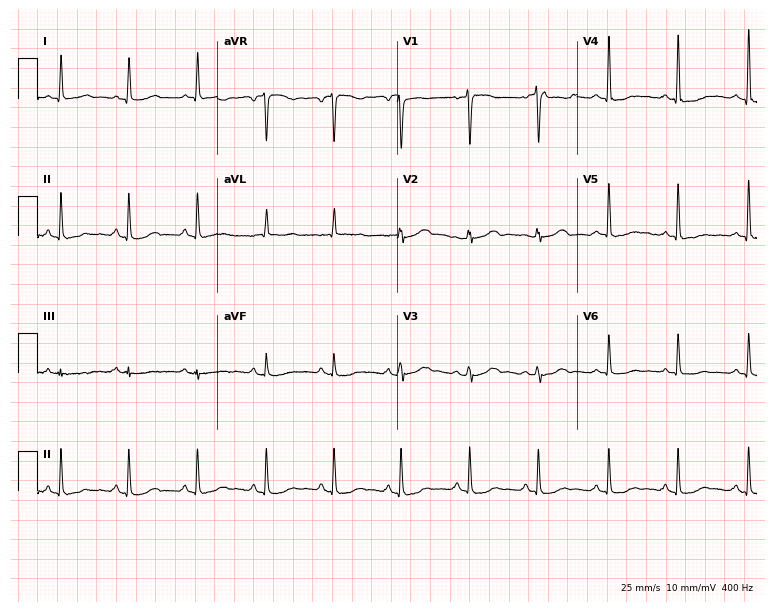
12-lead ECG from a woman, 57 years old (7.3-second recording at 400 Hz). No first-degree AV block, right bundle branch block (RBBB), left bundle branch block (LBBB), sinus bradycardia, atrial fibrillation (AF) or sinus tachycardia recorded for this tracing. Only these six findings were labelled.